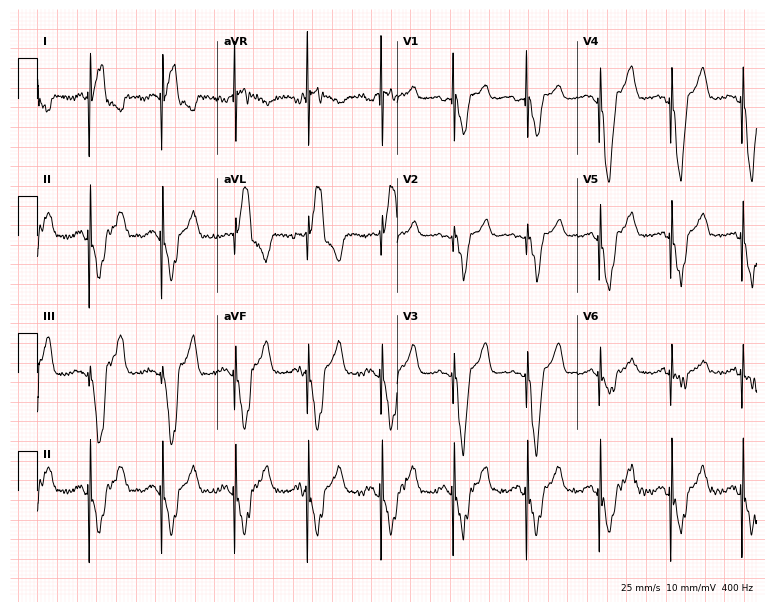
Electrocardiogram (7.3-second recording at 400 Hz), a female patient, 70 years old. Of the six screened findings (first-degree AV block, right bundle branch block, left bundle branch block, sinus bradycardia, atrial fibrillation, sinus tachycardia), none is recorded.